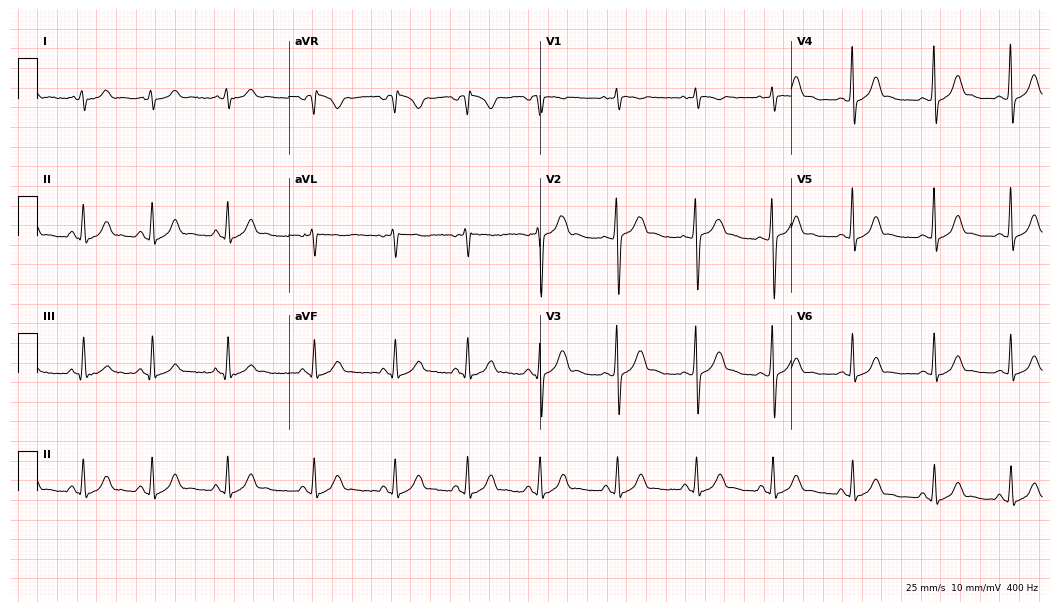
Standard 12-lead ECG recorded from a female, 29 years old (10.2-second recording at 400 Hz). Read as a normal ECG.